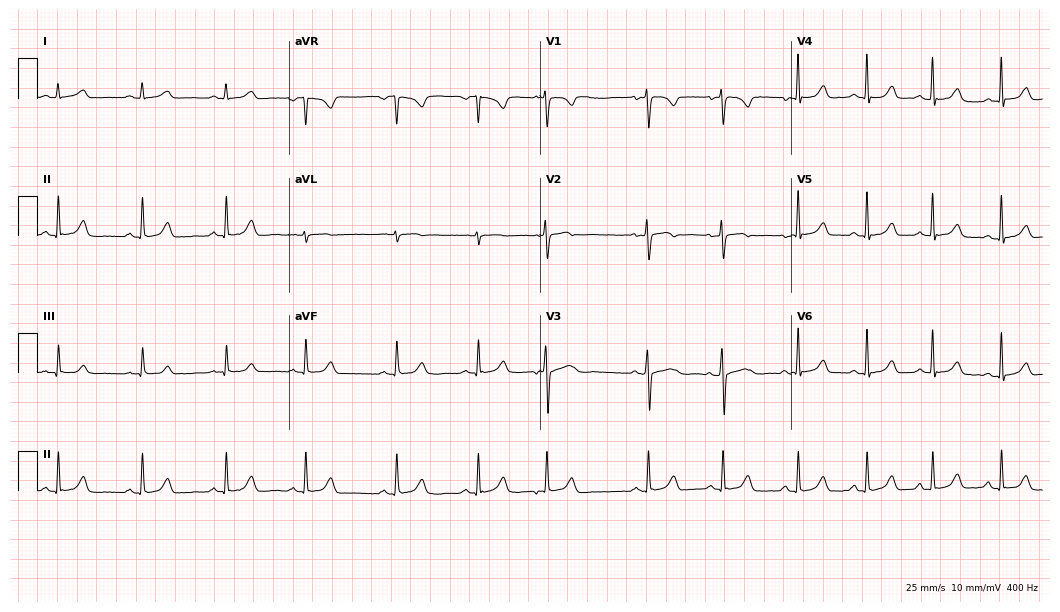
ECG — a 17-year-old female patient. Screened for six findings — first-degree AV block, right bundle branch block, left bundle branch block, sinus bradycardia, atrial fibrillation, sinus tachycardia — none is recorded. Only these six findings were labelled.